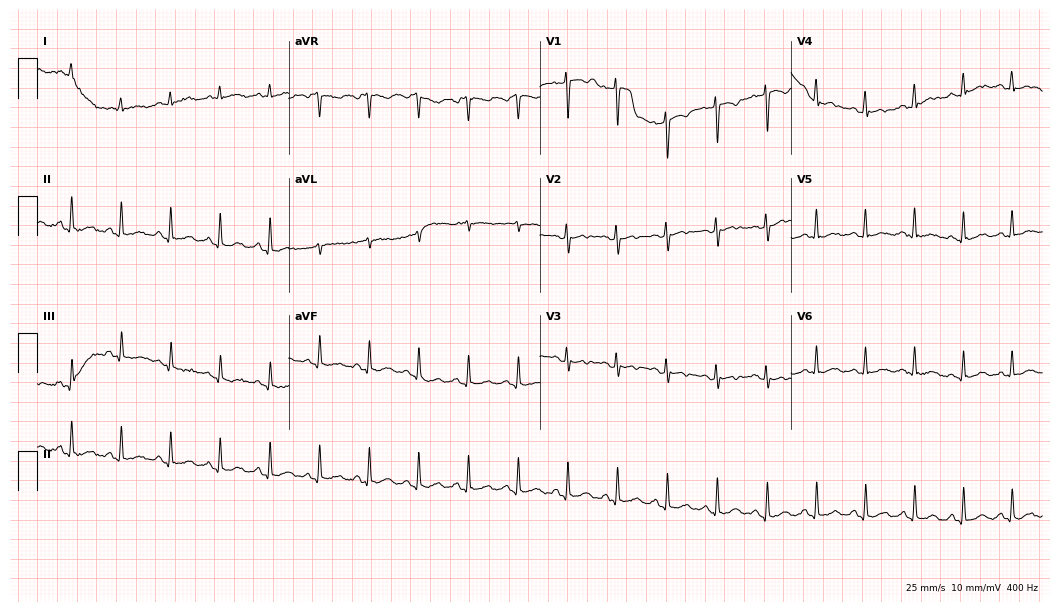
ECG — a female patient, 21 years old. Screened for six findings — first-degree AV block, right bundle branch block (RBBB), left bundle branch block (LBBB), sinus bradycardia, atrial fibrillation (AF), sinus tachycardia — none is recorded.